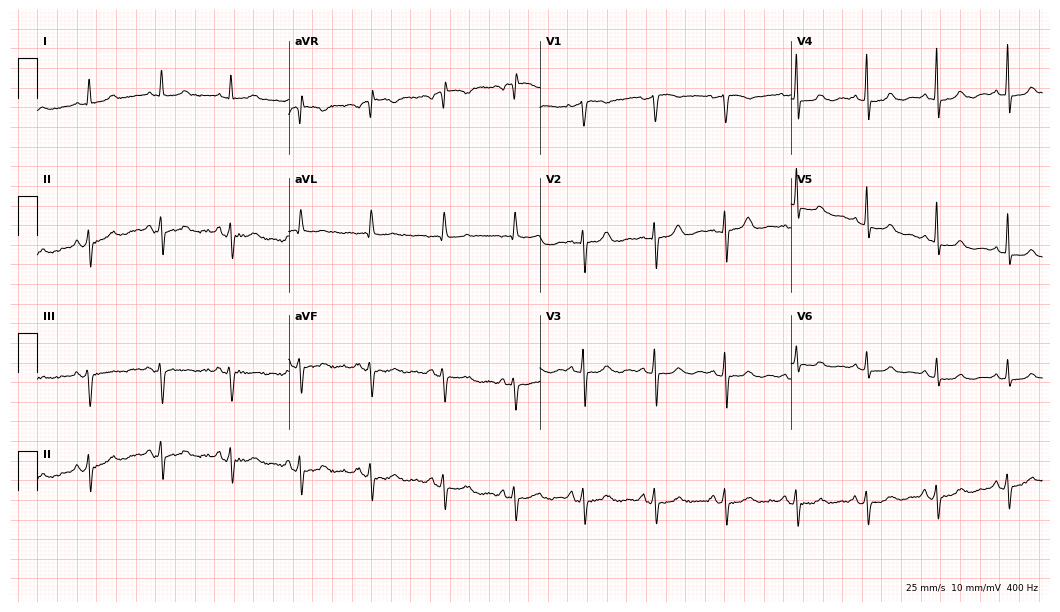
Electrocardiogram (10.2-second recording at 400 Hz), a female patient, 79 years old. Of the six screened findings (first-degree AV block, right bundle branch block (RBBB), left bundle branch block (LBBB), sinus bradycardia, atrial fibrillation (AF), sinus tachycardia), none is recorded.